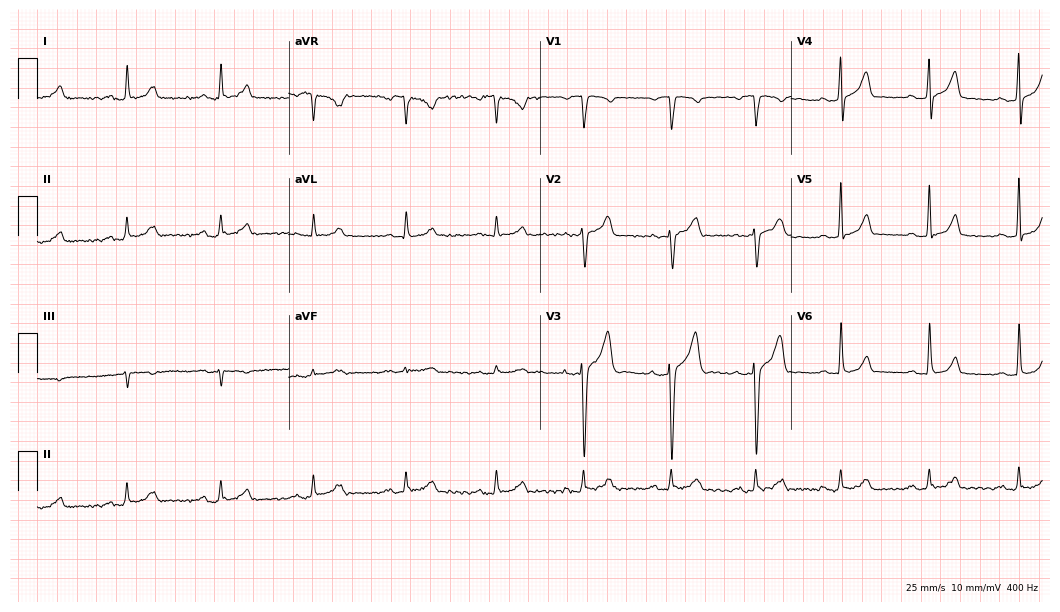
12-lead ECG from a 40-year-old man (10.2-second recording at 400 Hz). Recorded interpretation: within normal limits.